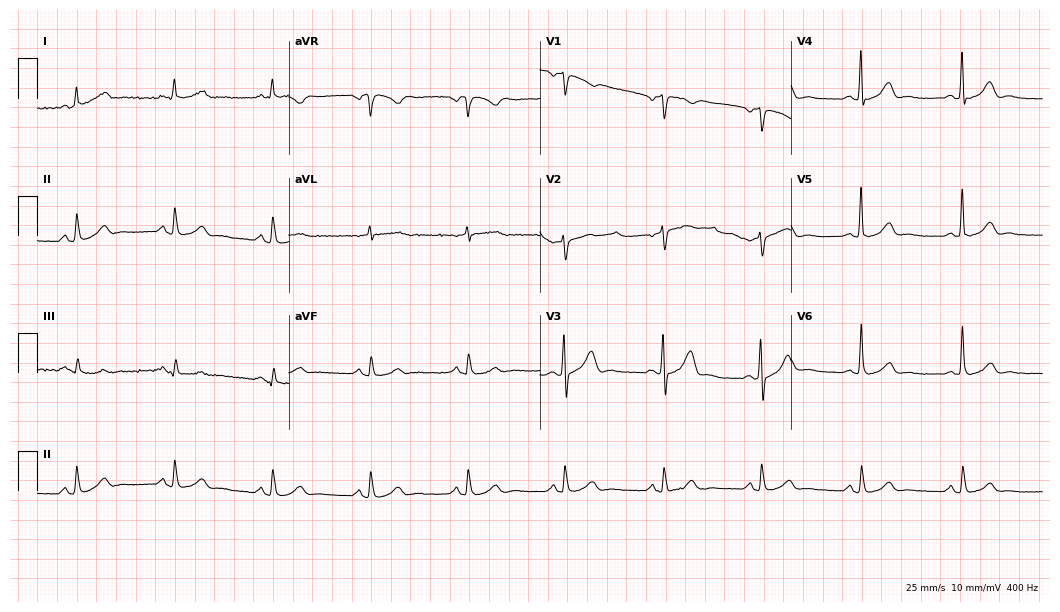
Electrocardiogram (10.2-second recording at 400 Hz), a man, 60 years old. Overall reading on record: normal ECG.